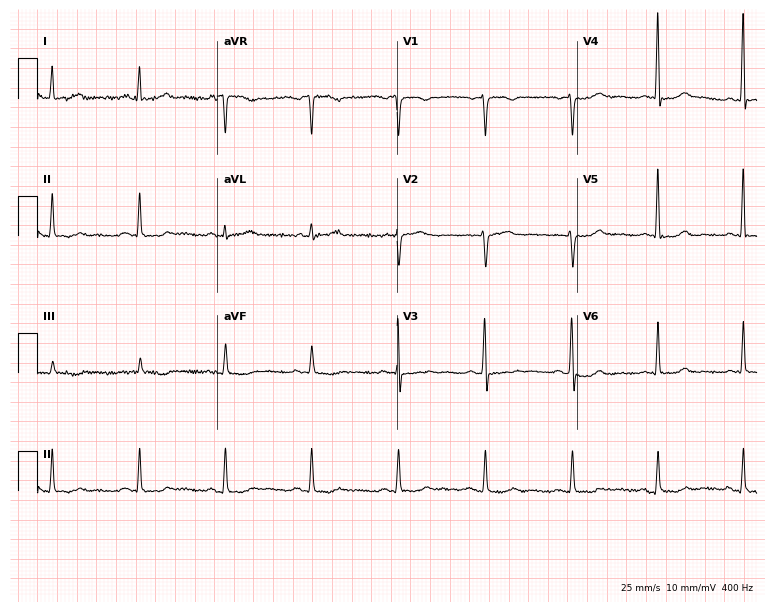
Resting 12-lead electrocardiogram (7.3-second recording at 400 Hz). Patient: a 48-year-old female. None of these six findings is recorded: first-degree AV block, right bundle branch block (RBBB), left bundle branch block (LBBB), sinus bradycardia, atrial fibrillation (AF), sinus tachycardia. Only these six findings were labelled.